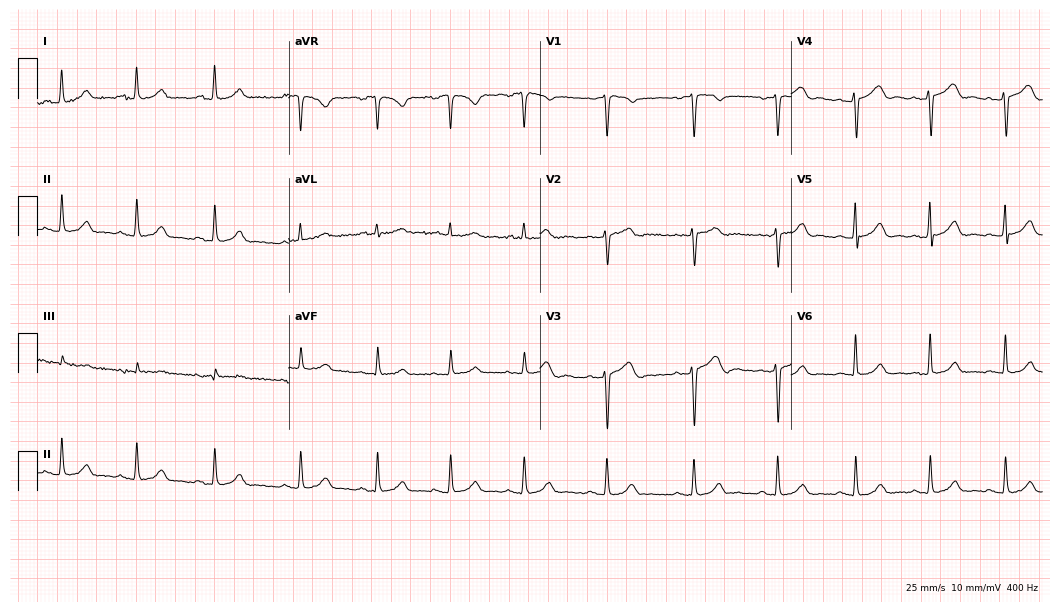
12-lead ECG (10.2-second recording at 400 Hz) from a female patient, 42 years old. Labelled as a normal ECG.